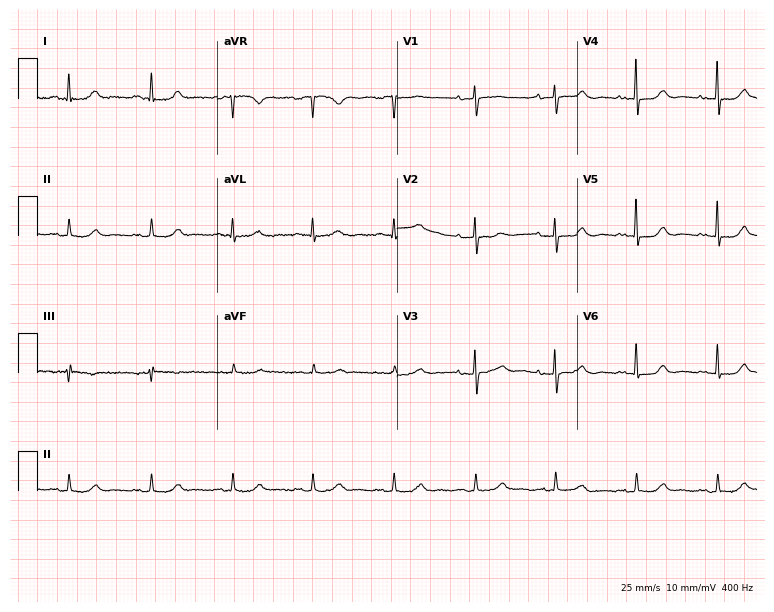
12-lead ECG from a woman, 71 years old. Recorded interpretation: within normal limits.